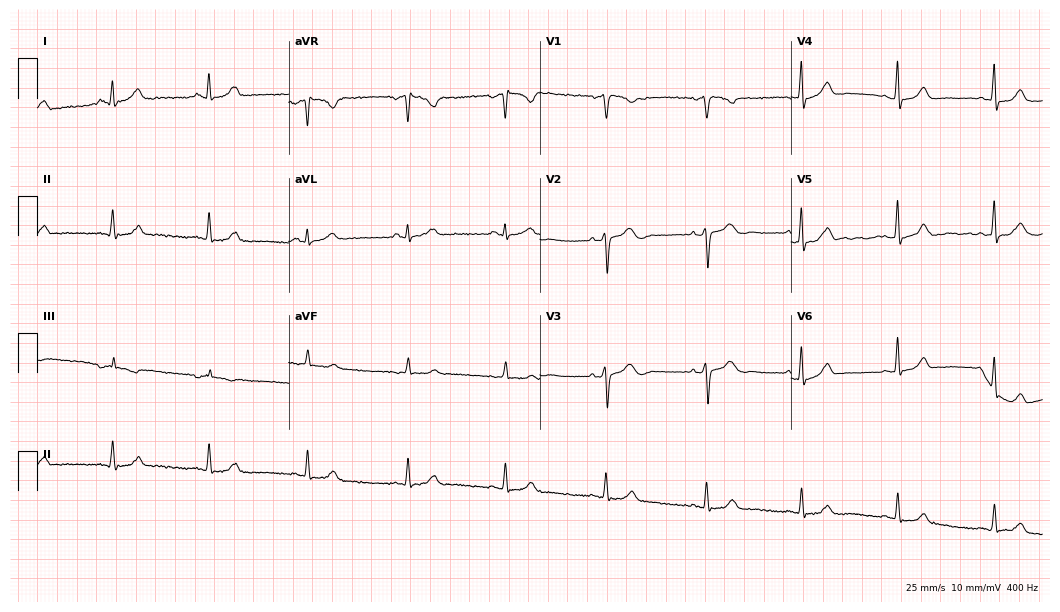
Electrocardiogram, a 38-year-old female. Of the six screened findings (first-degree AV block, right bundle branch block, left bundle branch block, sinus bradycardia, atrial fibrillation, sinus tachycardia), none is recorded. Other findings, if any, are not listed.